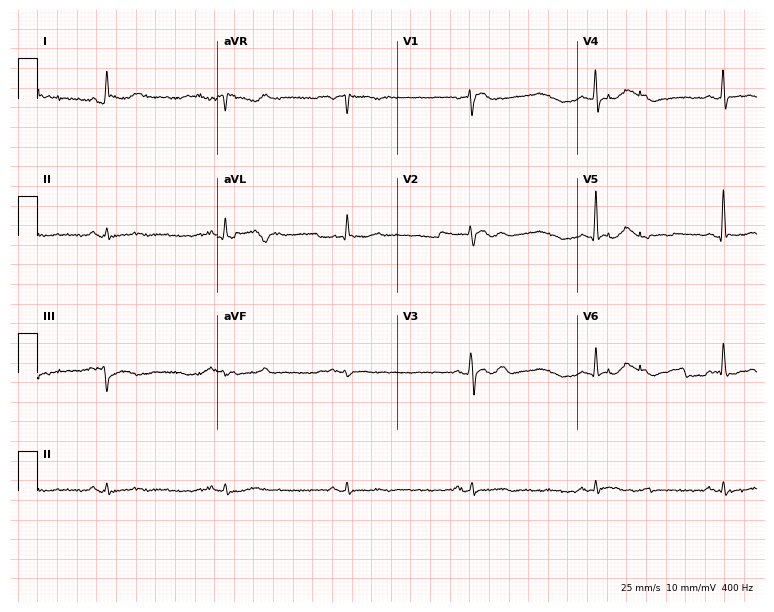
Standard 12-lead ECG recorded from a male, 66 years old. None of these six findings is recorded: first-degree AV block, right bundle branch block, left bundle branch block, sinus bradycardia, atrial fibrillation, sinus tachycardia.